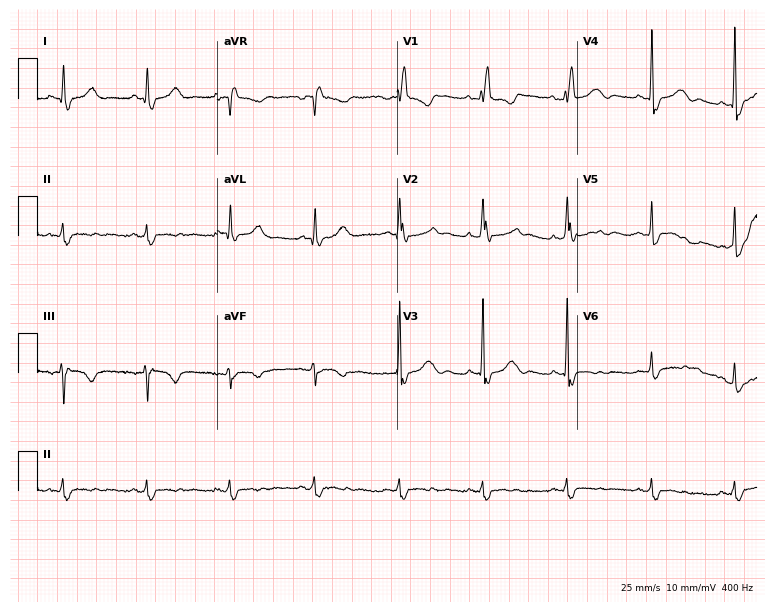
12-lead ECG from a 56-year-old female patient. Shows right bundle branch block (RBBB).